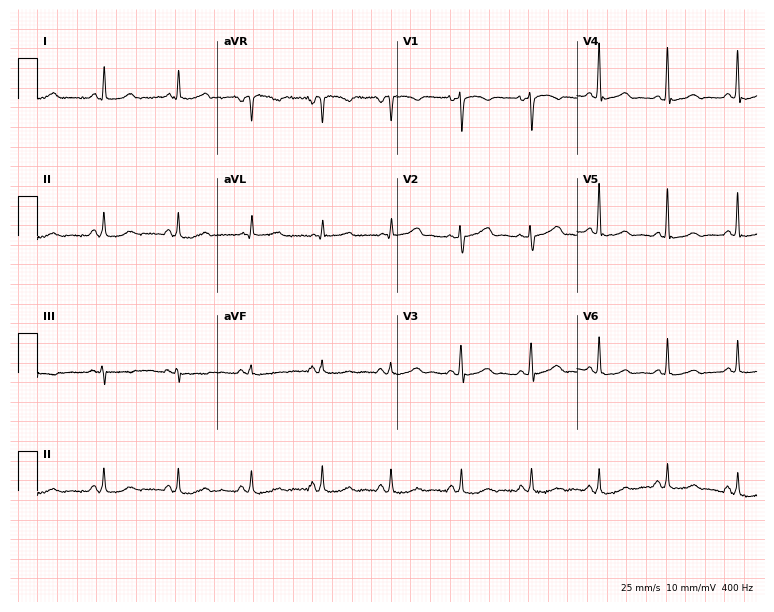
Electrocardiogram (7.3-second recording at 400 Hz), a female, 50 years old. Overall reading on record: normal ECG.